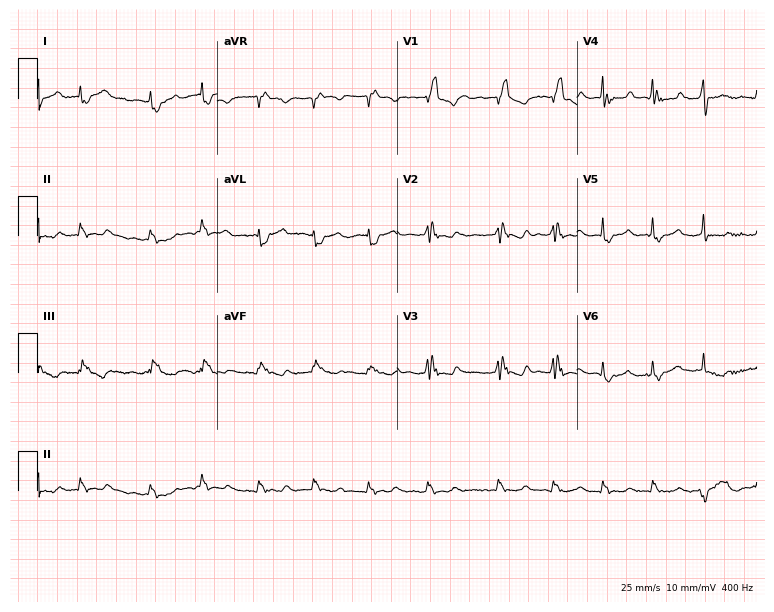
12-lead ECG from an 86-year-old woman. Shows right bundle branch block (RBBB), atrial fibrillation (AF).